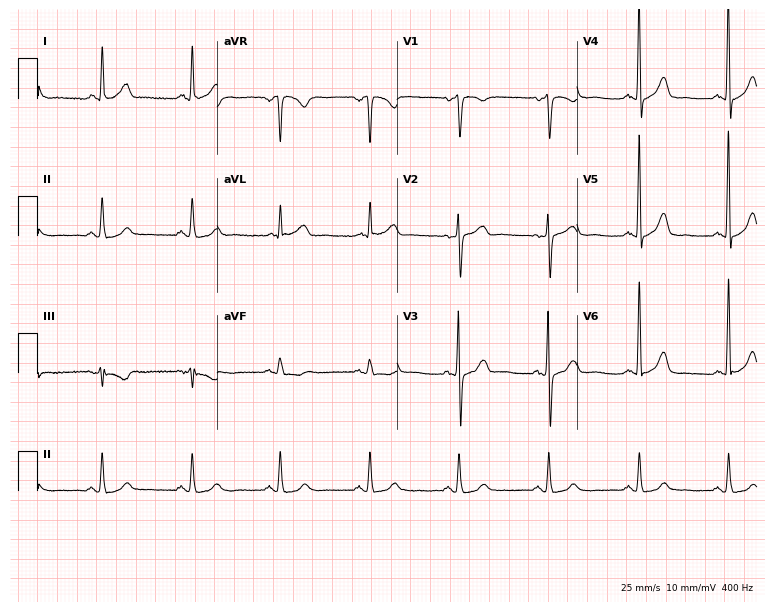
ECG (7.3-second recording at 400 Hz) — a 66-year-old female patient. Screened for six findings — first-degree AV block, right bundle branch block, left bundle branch block, sinus bradycardia, atrial fibrillation, sinus tachycardia — none is recorded. Findings outside these six are not listed.